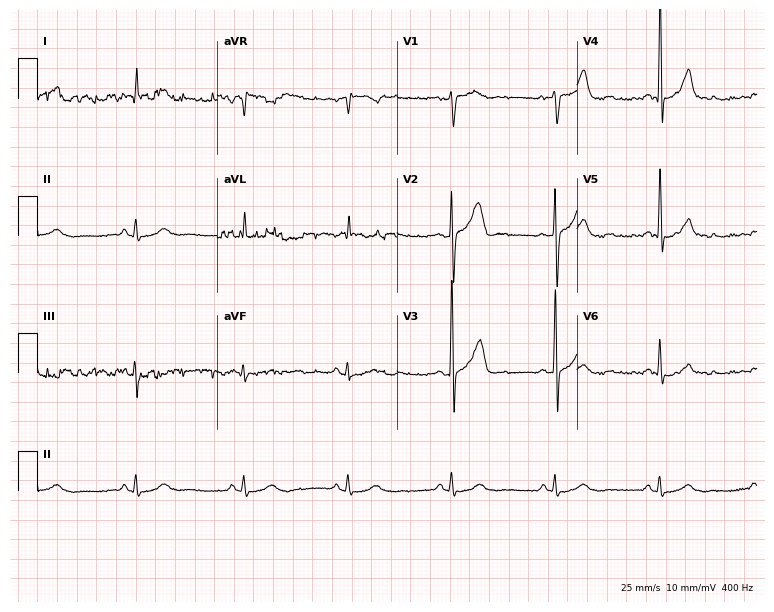
Electrocardiogram, a male, 60 years old. Overall reading on record: normal ECG.